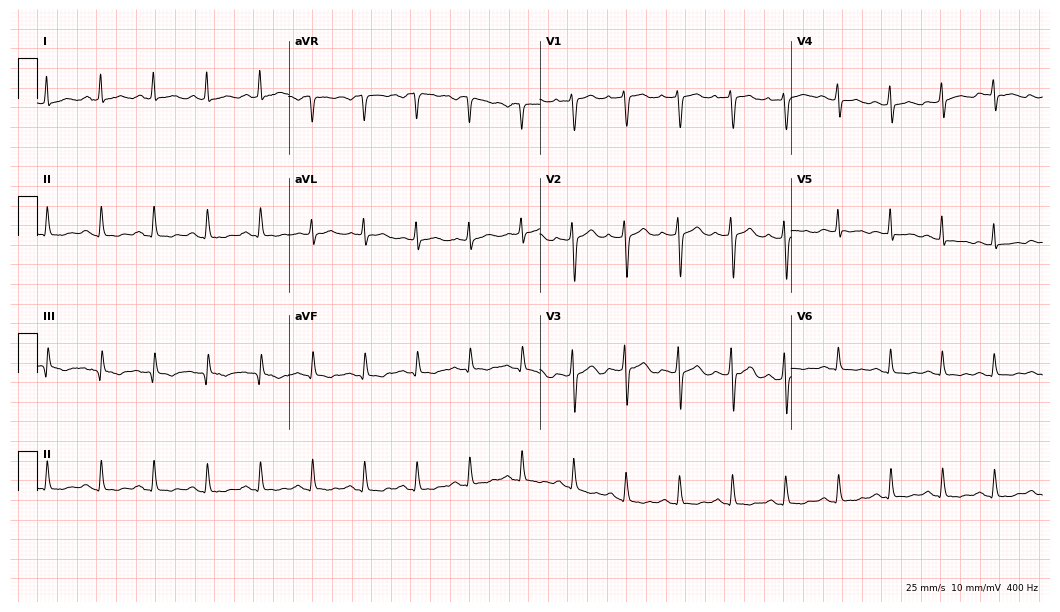
ECG (10.2-second recording at 400 Hz) — a 26-year-old woman. Findings include sinus tachycardia (a sinus rate of 100 beats per minute or more).